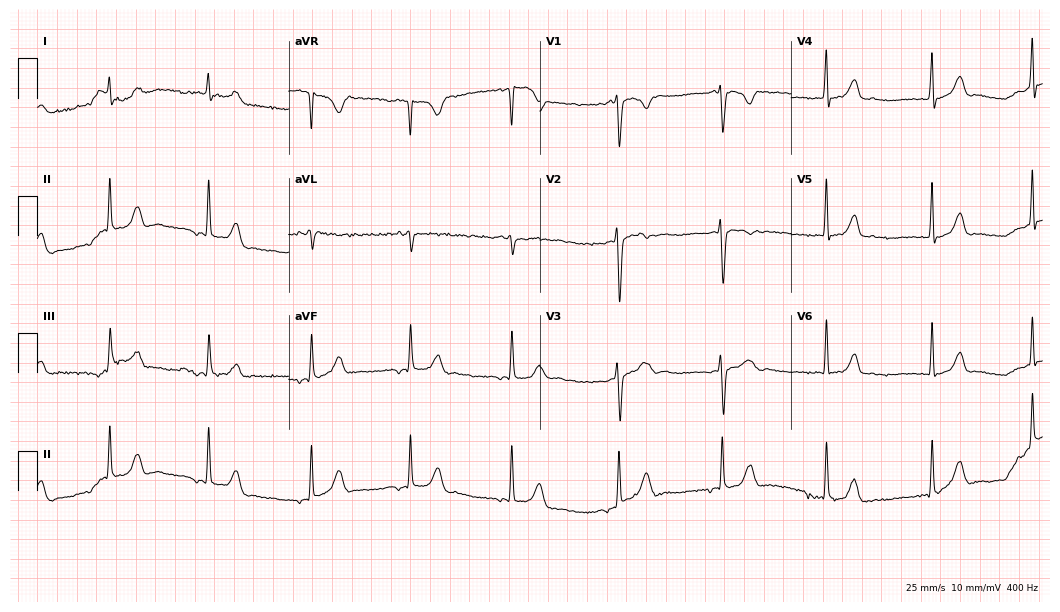
Electrocardiogram (10.2-second recording at 400 Hz), a female patient, 17 years old. Of the six screened findings (first-degree AV block, right bundle branch block (RBBB), left bundle branch block (LBBB), sinus bradycardia, atrial fibrillation (AF), sinus tachycardia), none is recorded. Only these six findings were labelled.